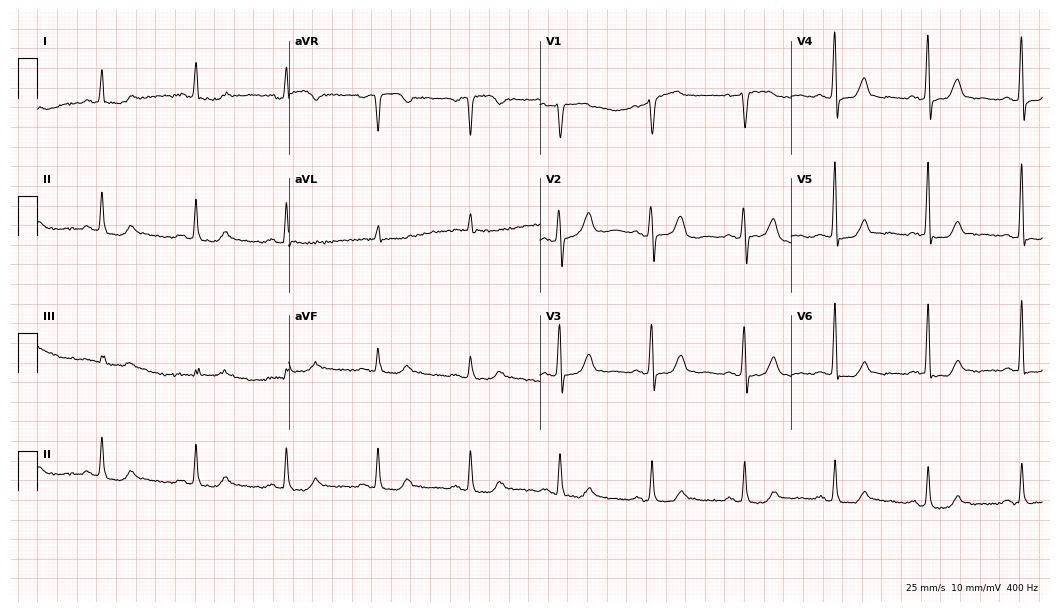
Standard 12-lead ECG recorded from a 57-year-old woman (10.2-second recording at 400 Hz). None of these six findings is recorded: first-degree AV block, right bundle branch block, left bundle branch block, sinus bradycardia, atrial fibrillation, sinus tachycardia. Other findings, if any, are not listed.